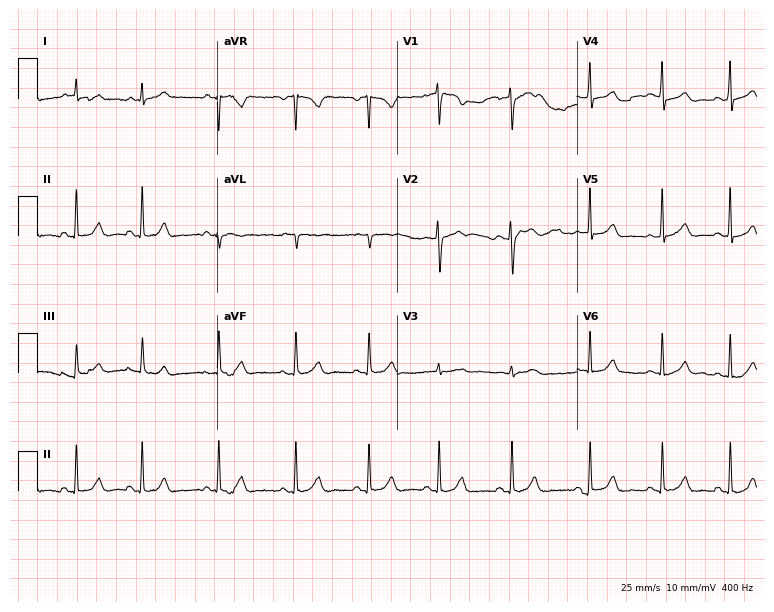
12-lead ECG (7.3-second recording at 400 Hz) from a 30-year-old woman. Labelled as a normal ECG.